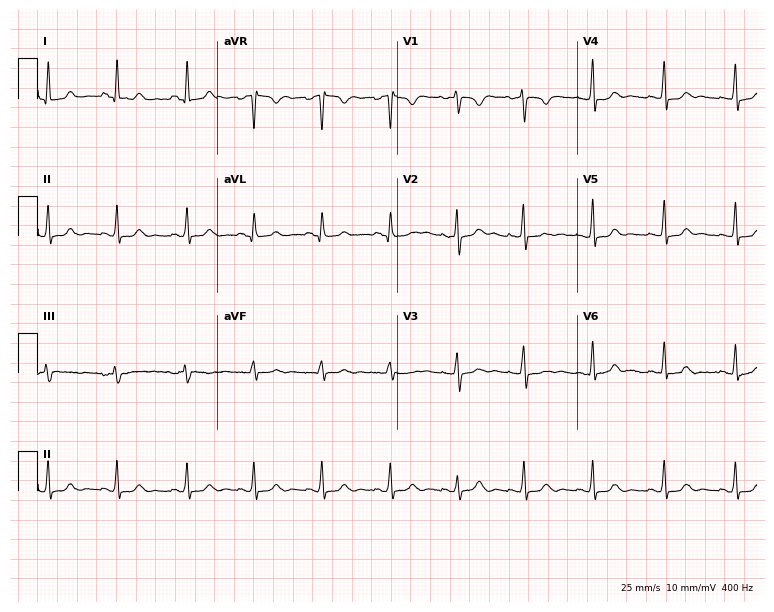
ECG — a female patient, 29 years old. Labelled as a normal ECG.